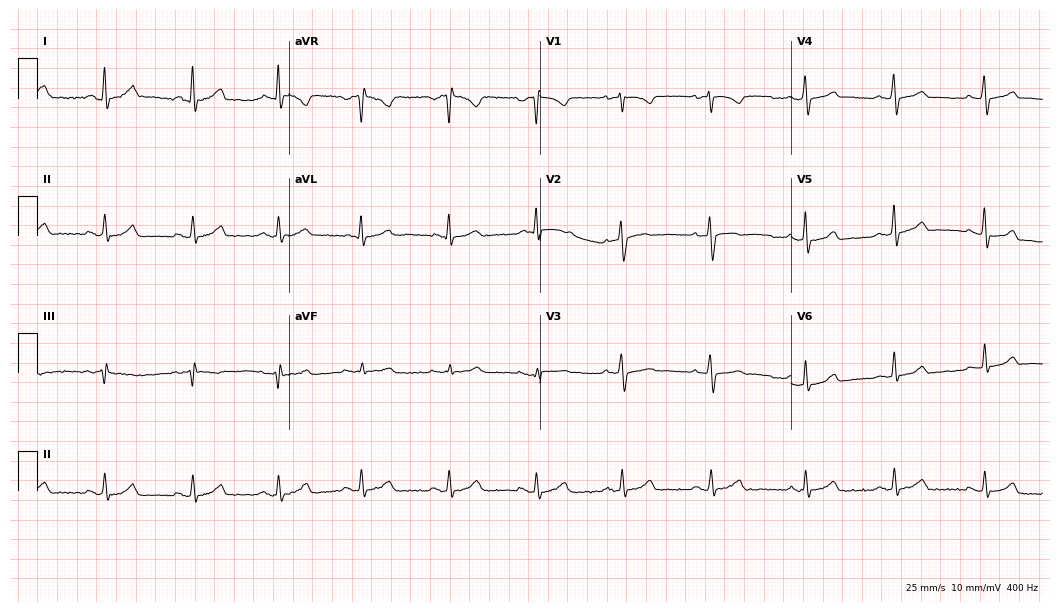
Resting 12-lead electrocardiogram. Patient: a 42-year-old woman. Read as a normal ECG.